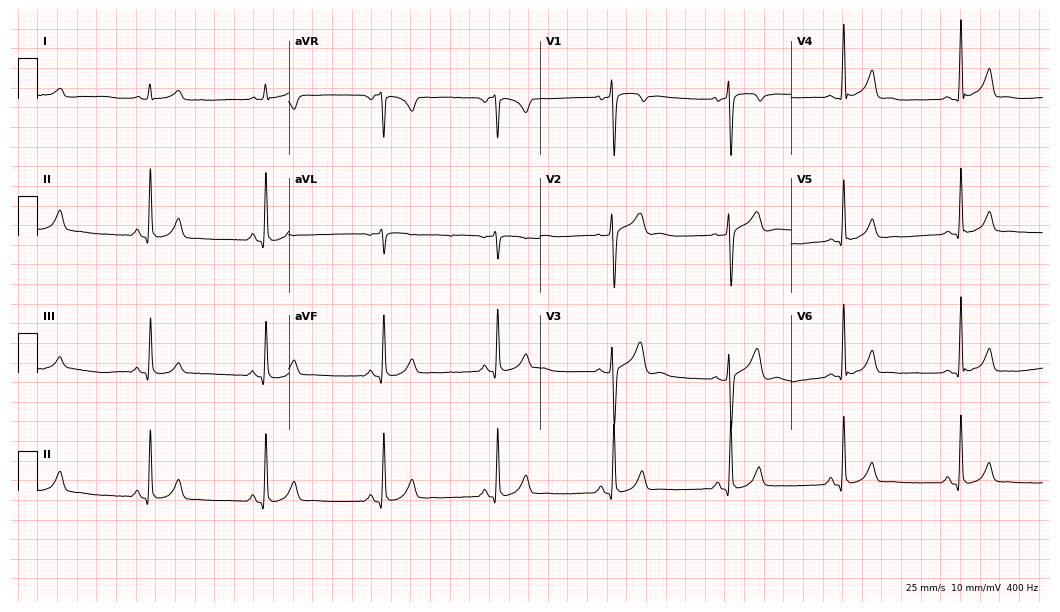
12-lead ECG (10.2-second recording at 400 Hz) from a male patient, 41 years old. Labelled as a normal ECG.